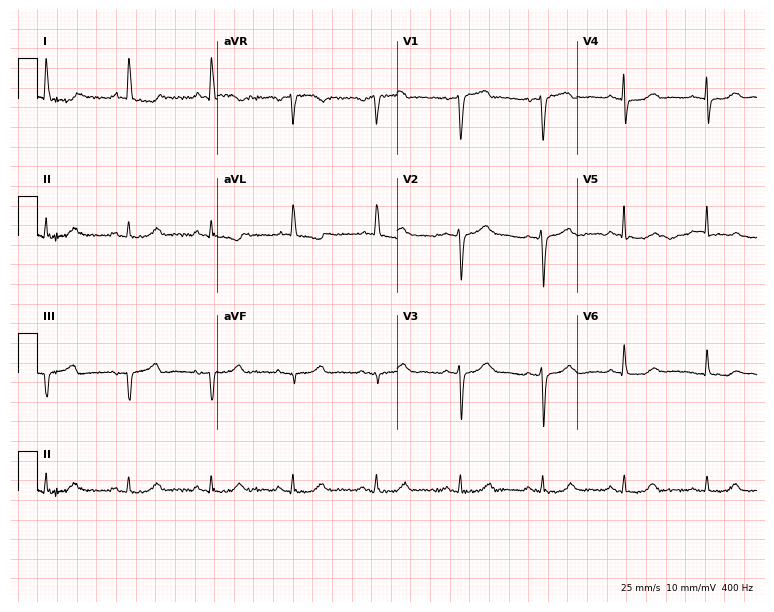
12-lead ECG from a 55-year-old woman (7.3-second recording at 400 Hz). No first-degree AV block, right bundle branch block (RBBB), left bundle branch block (LBBB), sinus bradycardia, atrial fibrillation (AF) or sinus tachycardia recorded for this tracing.